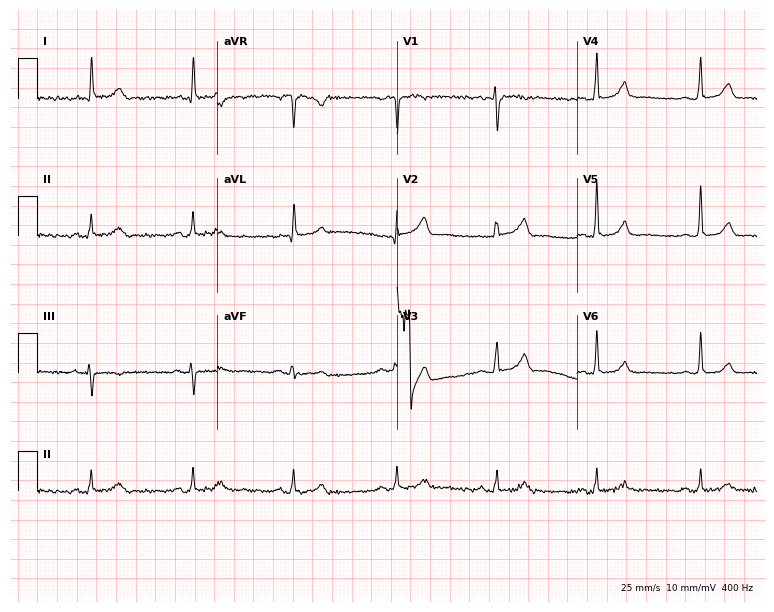
12-lead ECG from a female patient, 58 years old. Labelled as a normal ECG.